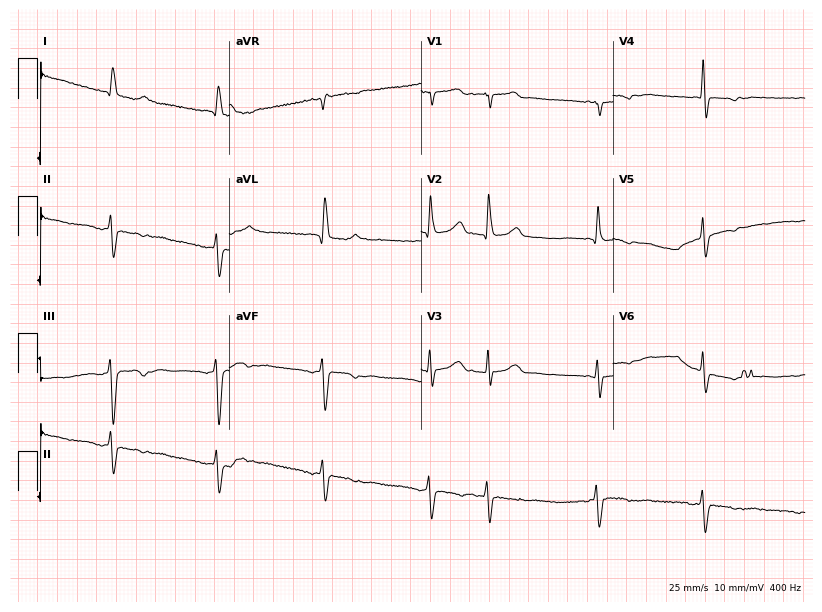
ECG (7.8-second recording at 400 Hz) — a 77-year-old woman. Screened for six findings — first-degree AV block, right bundle branch block (RBBB), left bundle branch block (LBBB), sinus bradycardia, atrial fibrillation (AF), sinus tachycardia — none is recorded.